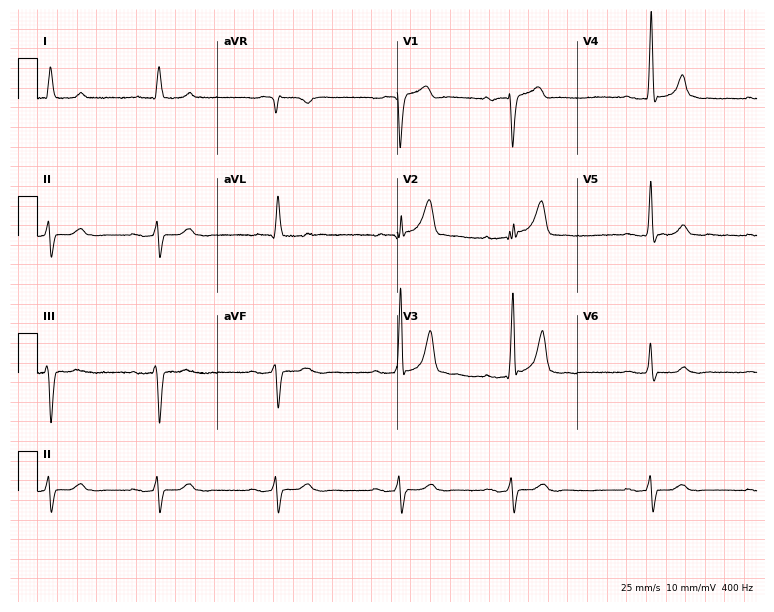
12-lead ECG from a male patient, 87 years old. No first-degree AV block, right bundle branch block, left bundle branch block, sinus bradycardia, atrial fibrillation or sinus tachycardia recorded for this tracing.